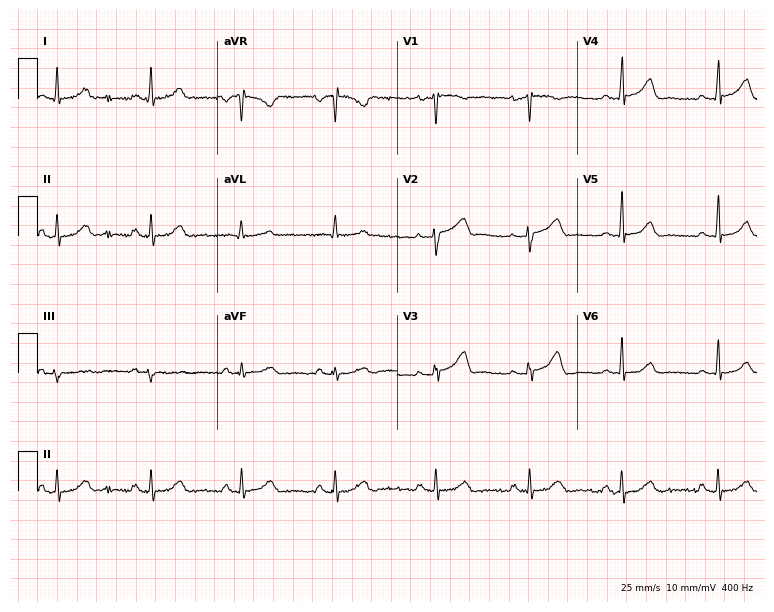
Electrocardiogram (7.3-second recording at 400 Hz), a female patient, 25 years old. Overall reading on record: normal ECG.